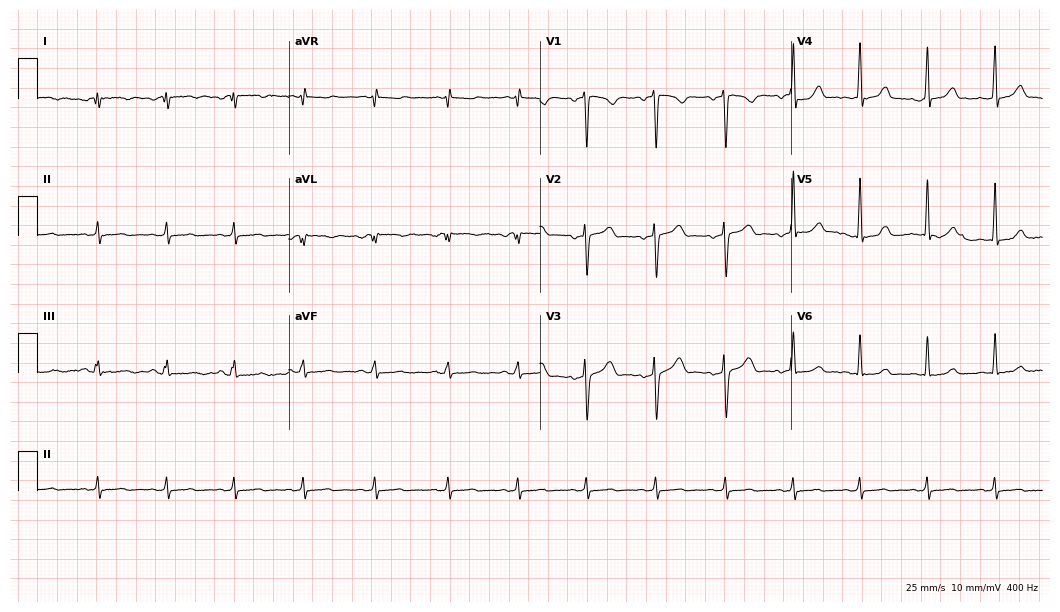
Standard 12-lead ECG recorded from a woman, 38 years old. None of these six findings is recorded: first-degree AV block, right bundle branch block, left bundle branch block, sinus bradycardia, atrial fibrillation, sinus tachycardia.